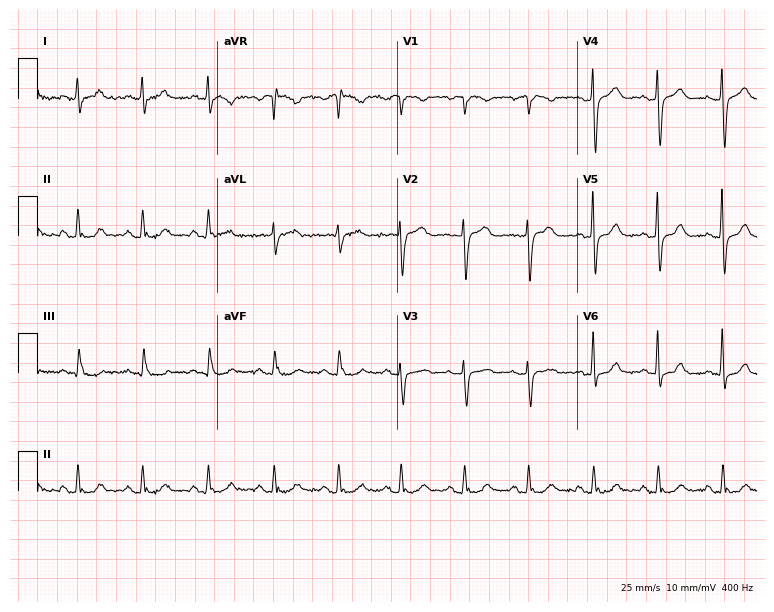
Resting 12-lead electrocardiogram (7.3-second recording at 400 Hz). Patient: a woman, 65 years old. None of these six findings is recorded: first-degree AV block, right bundle branch block, left bundle branch block, sinus bradycardia, atrial fibrillation, sinus tachycardia. Findings outside these six are not listed.